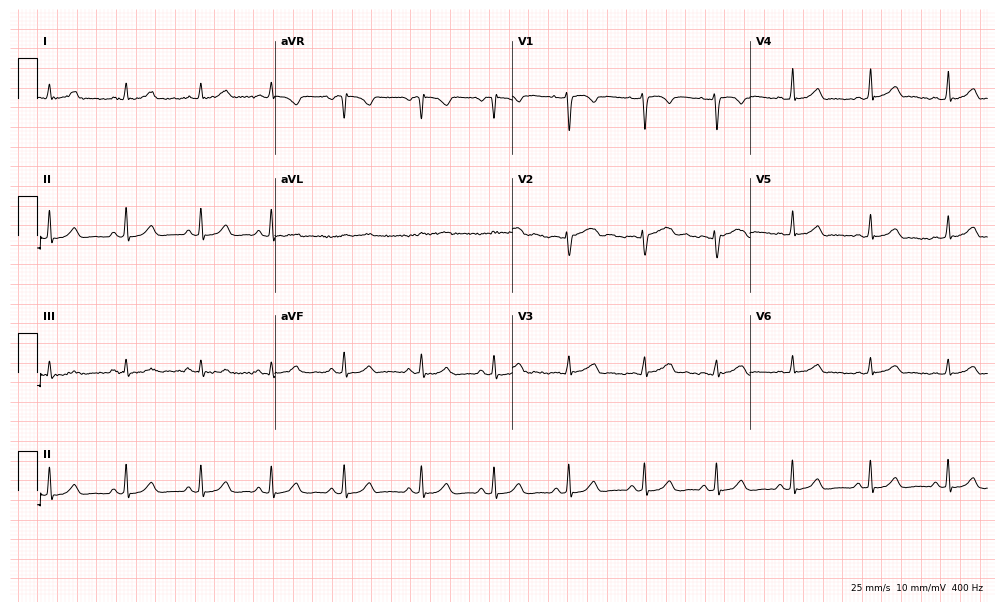
Electrocardiogram, a female, 20 years old. Overall reading on record: normal ECG.